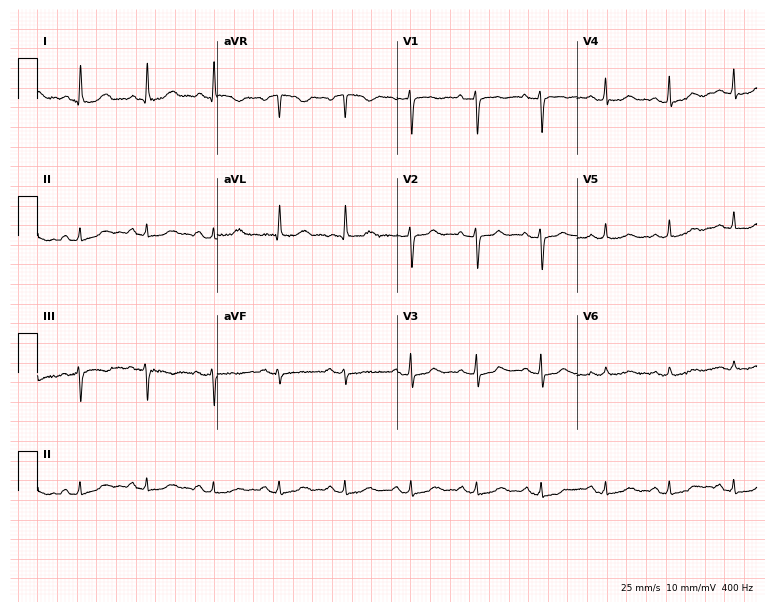
12-lead ECG from an 82-year-old female patient. Screened for six findings — first-degree AV block, right bundle branch block (RBBB), left bundle branch block (LBBB), sinus bradycardia, atrial fibrillation (AF), sinus tachycardia — none is recorded. Findings outside these six are not listed.